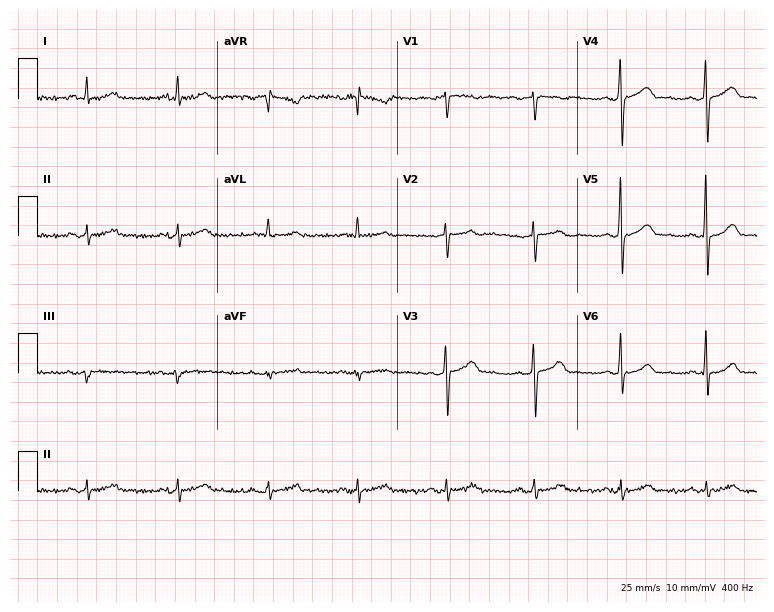
Electrocardiogram, a 66-year-old male patient. Overall reading on record: normal ECG.